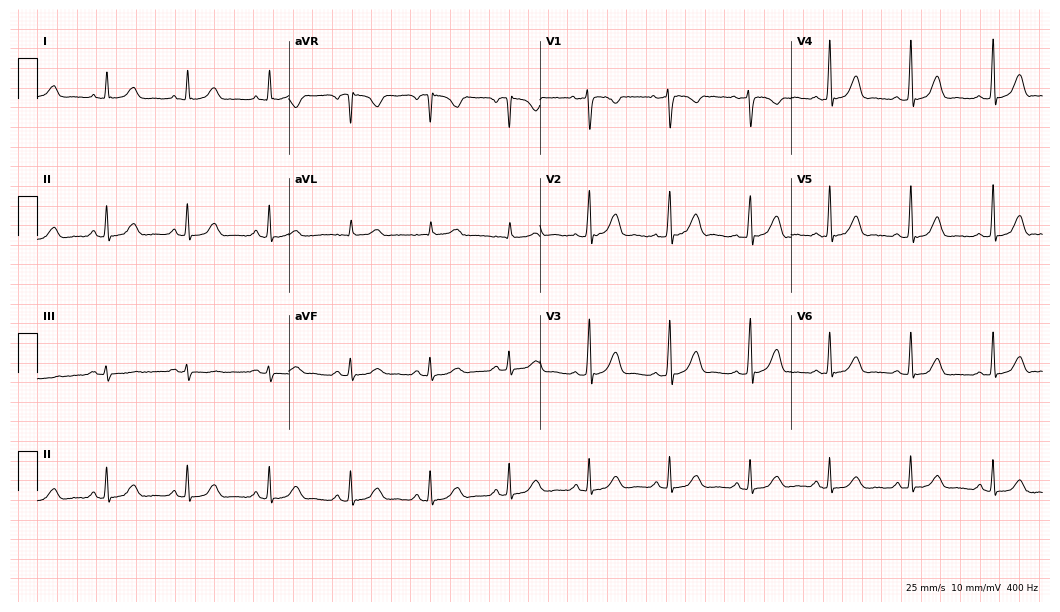
Standard 12-lead ECG recorded from a 43-year-old female (10.2-second recording at 400 Hz). Read as a normal ECG.